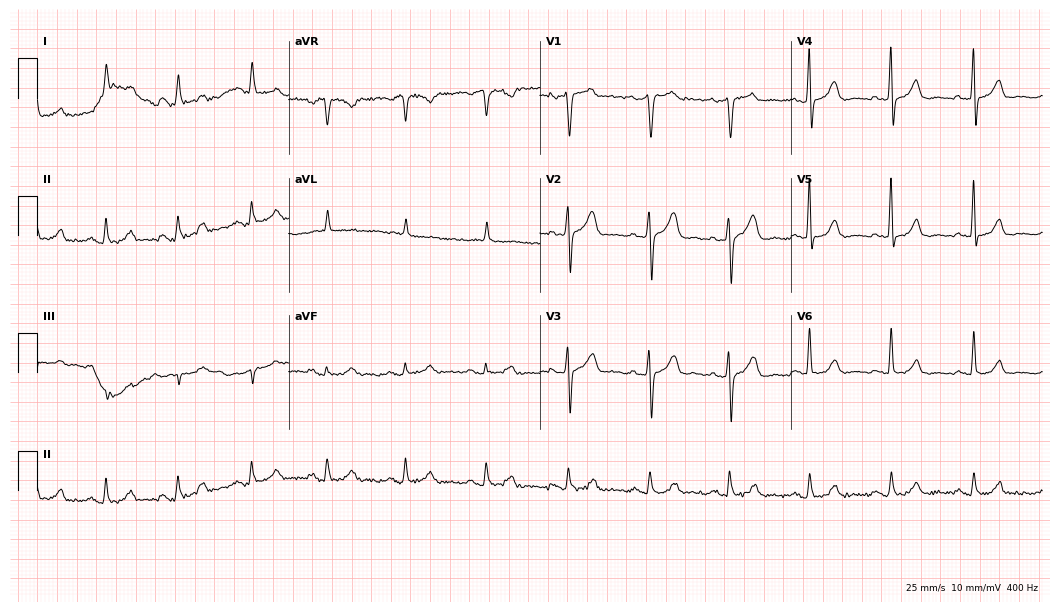
12-lead ECG from a 69-year-old male patient. Labelled as a normal ECG.